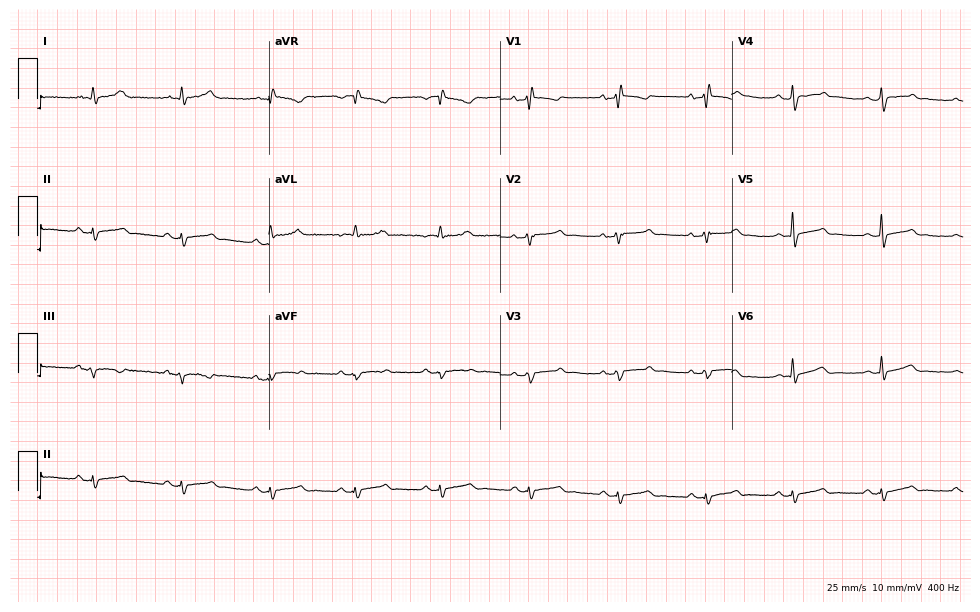
Standard 12-lead ECG recorded from a female patient, 59 years old. None of these six findings is recorded: first-degree AV block, right bundle branch block (RBBB), left bundle branch block (LBBB), sinus bradycardia, atrial fibrillation (AF), sinus tachycardia.